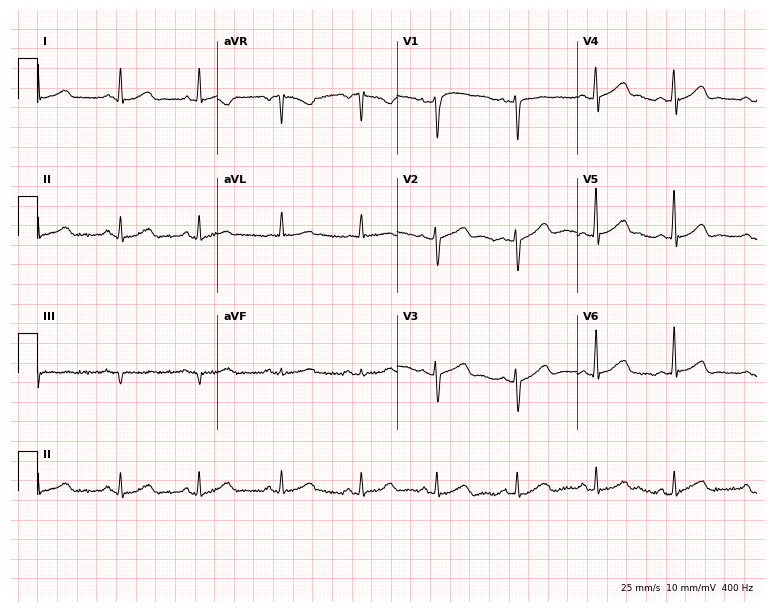
Standard 12-lead ECG recorded from a female, 48 years old (7.3-second recording at 400 Hz). Read as a normal ECG.